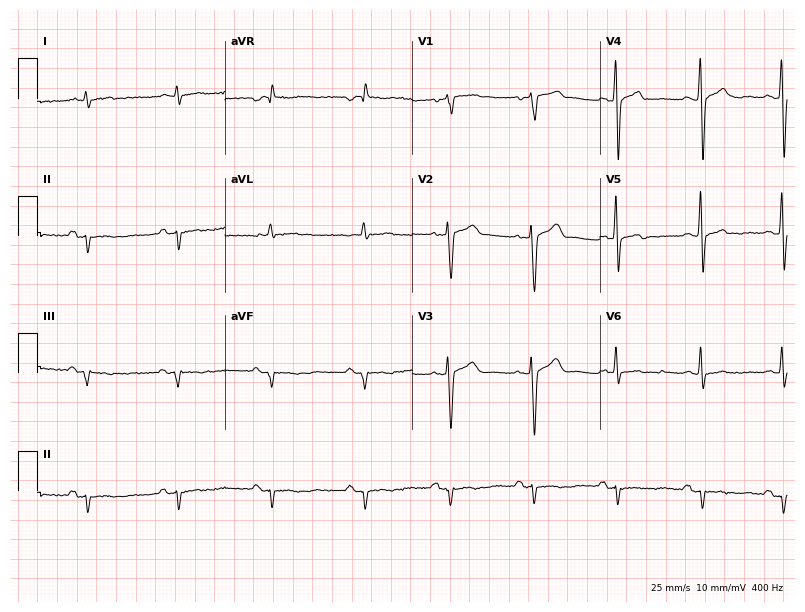
12-lead ECG from a male, 42 years old. Screened for six findings — first-degree AV block, right bundle branch block, left bundle branch block, sinus bradycardia, atrial fibrillation, sinus tachycardia — none is recorded.